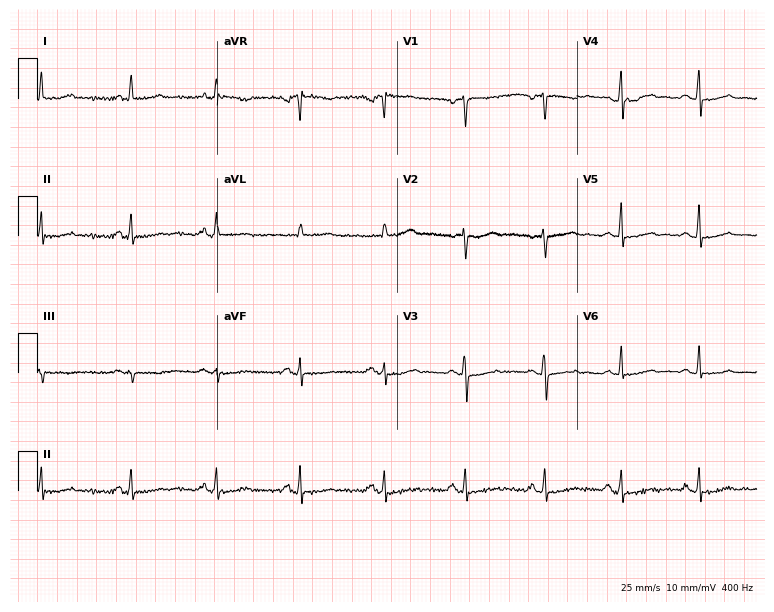
12-lead ECG from a female patient, 53 years old (7.3-second recording at 400 Hz). No first-degree AV block, right bundle branch block, left bundle branch block, sinus bradycardia, atrial fibrillation or sinus tachycardia recorded for this tracing.